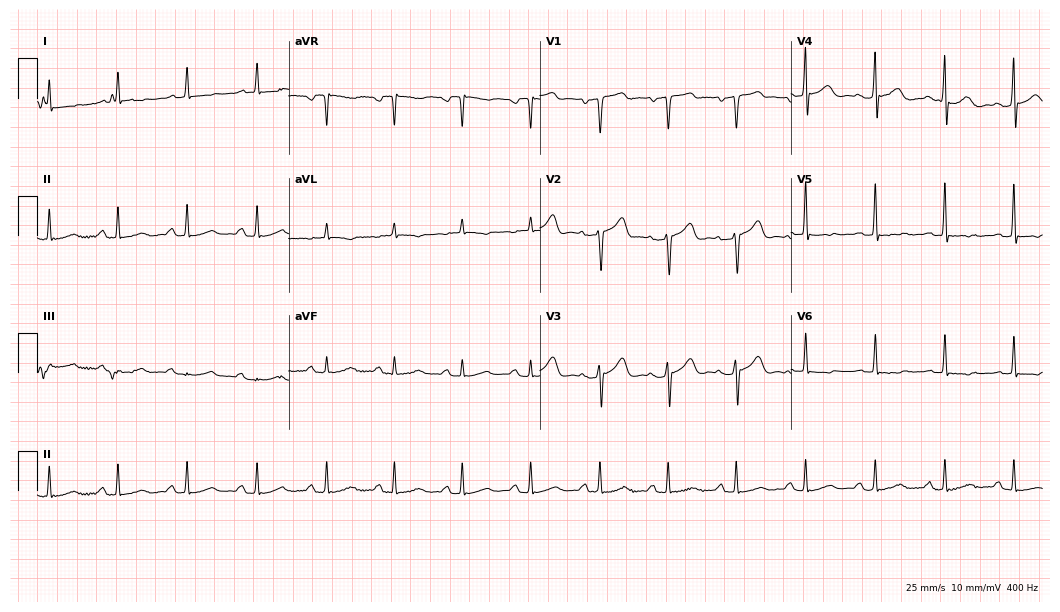
Electrocardiogram, a male patient, 65 years old. Of the six screened findings (first-degree AV block, right bundle branch block, left bundle branch block, sinus bradycardia, atrial fibrillation, sinus tachycardia), none is recorded.